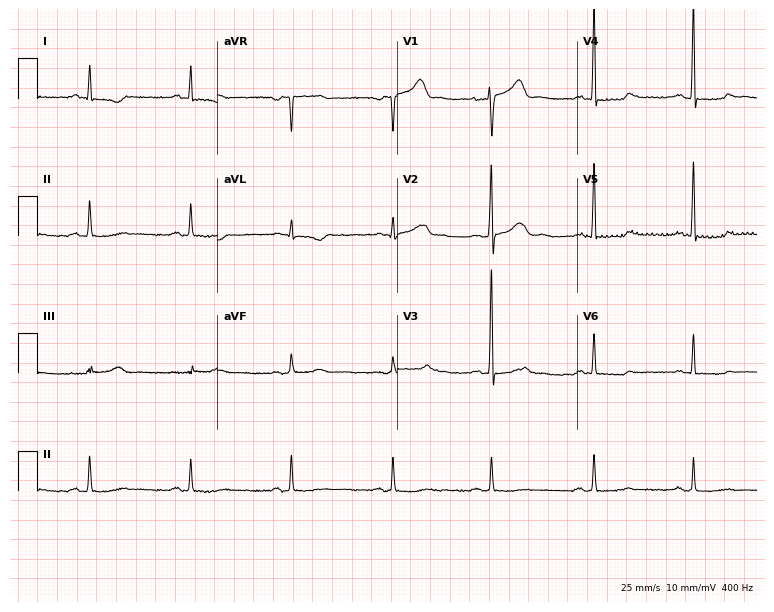
Standard 12-lead ECG recorded from a 64-year-old male (7.3-second recording at 400 Hz). None of these six findings is recorded: first-degree AV block, right bundle branch block (RBBB), left bundle branch block (LBBB), sinus bradycardia, atrial fibrillation (AF), sinus tachycardia.